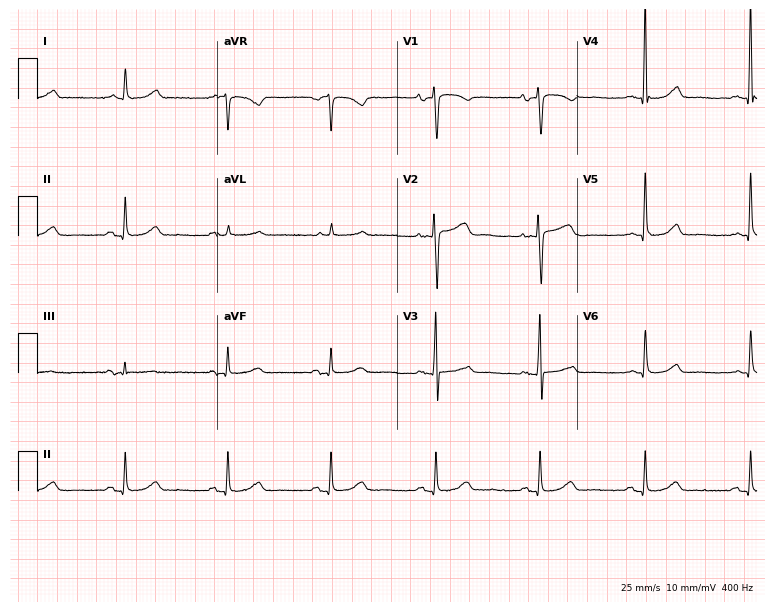
ECG — a female, 78 years old. Screened for six findings — first-degree AV block, right bundle branch block, left bundle branch block, sinus bradycardia, atrial fibrillation, sinus tachycardia — none is recorded. Findings outside these six are not listed.